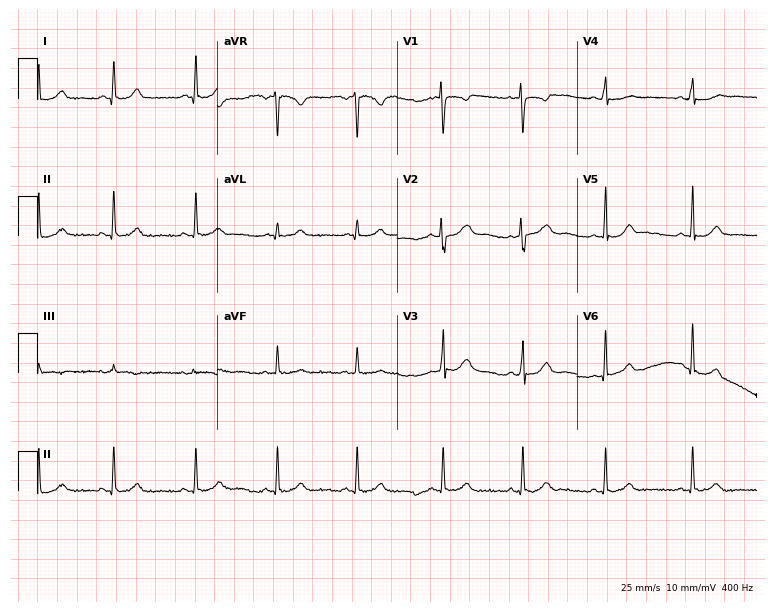
Resting 12-lead electrocardiogram. Patient: a female, 23 years old. Read as a normal ECG.